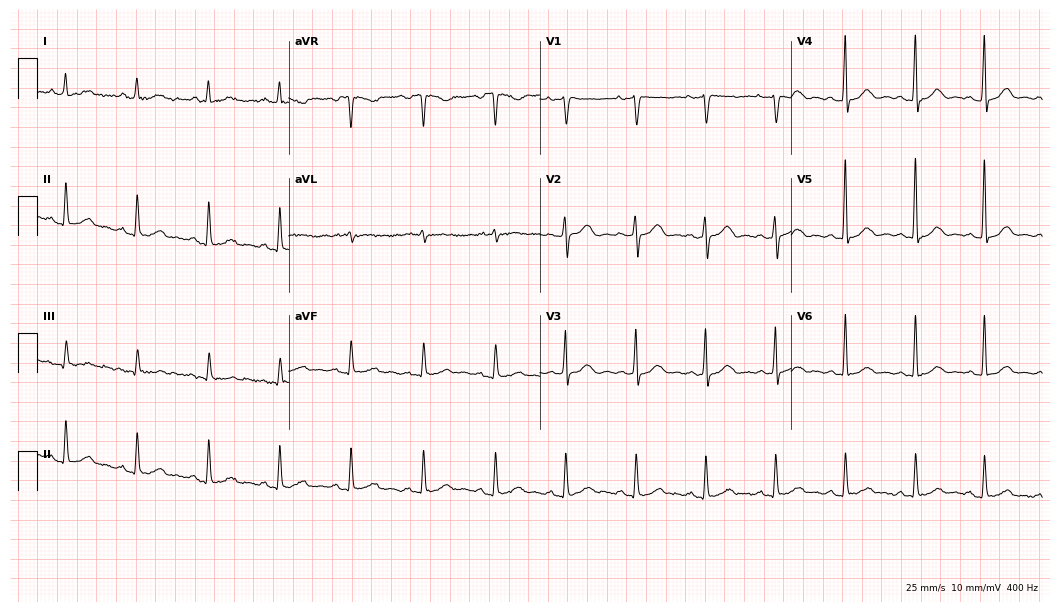
ECG (10.2-second recording at 400 Hz) — a 67-year-old woman. Screened for six findings — first-degree AV block, right bundle branch block, left bundle branch block, sinus bradycardia, atrial fibrillation, sinus tachycardia — none is recorded. Only these six findings were labelled.